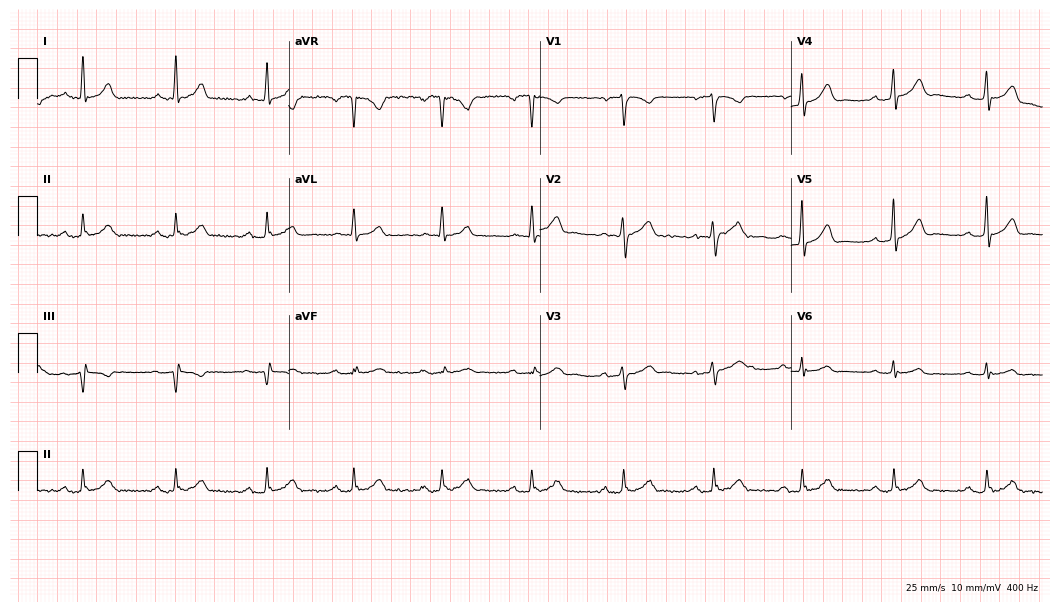
ECG (10.2-second recording at 400 Hz) — a male, 45 years old. Findings include first-degree AV block.